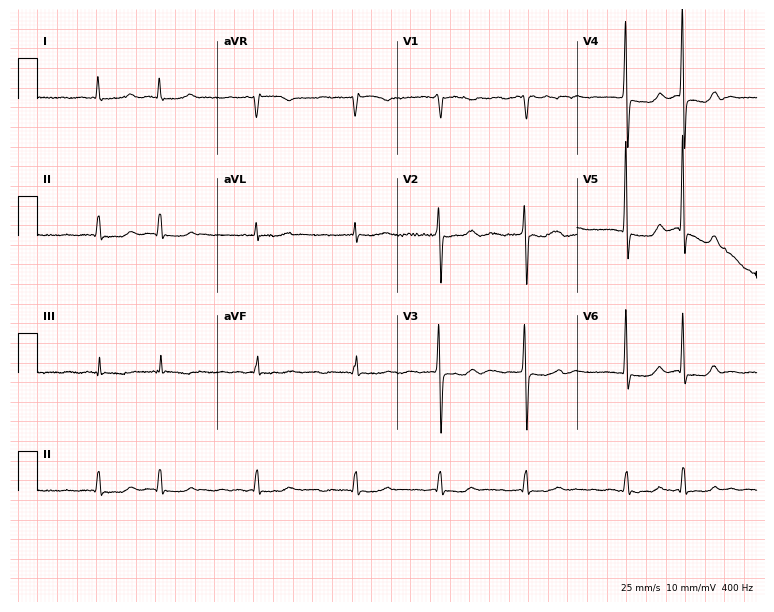
Standard 12-lead ECG recorded from a 79-year-old man. The tracing shows atrial fibrillation.